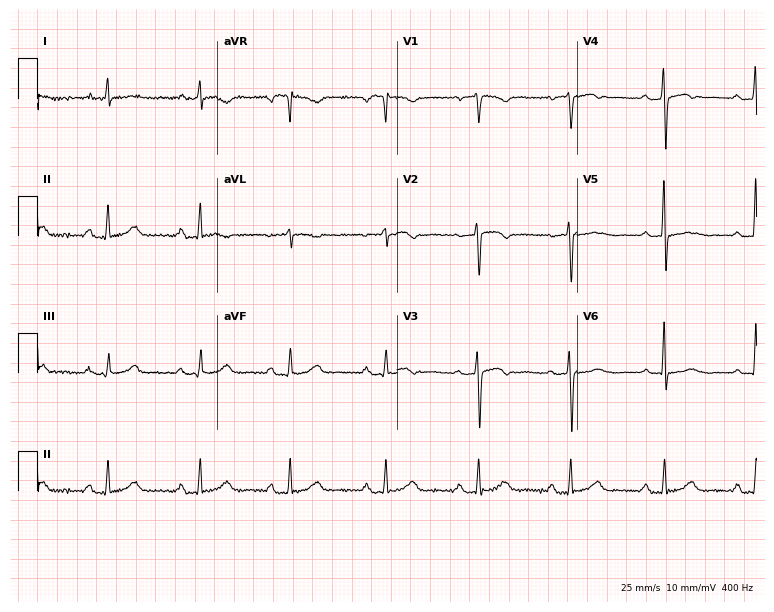
Electrocardiogram (7.3-second recording at 400 Hz), a woman, 52 years old. Of the six screened findings (first-degree AV block, right bundle branch block (RBBB), left bundle branch block (LBBB), sinus bradycardia, atrial fibrillation (AF), sinus tachycardia), none is recorded. Other findings, if any, are not listed.